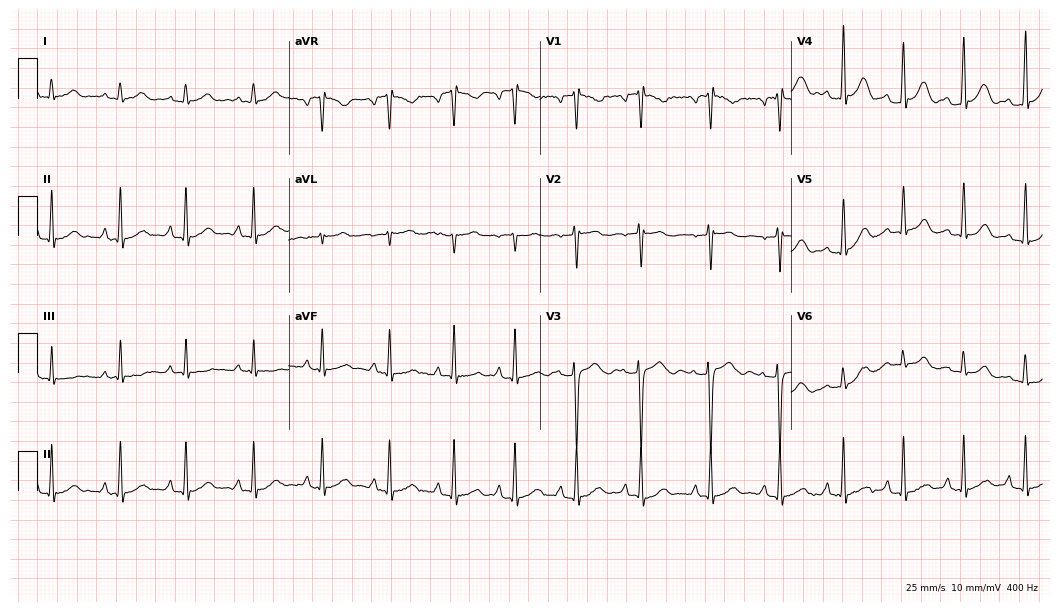
12-lead ECG from a 24-year-old female. Recorded interpretation: within normal limits.